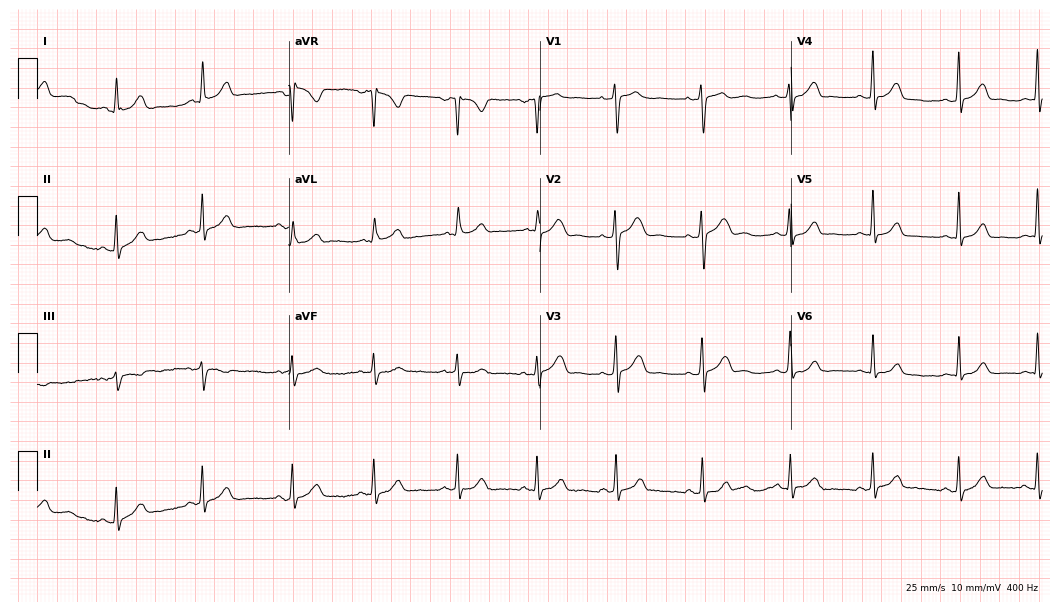
12-lead ECG from a woman, 40 years old. Labelled as a normal ECG.